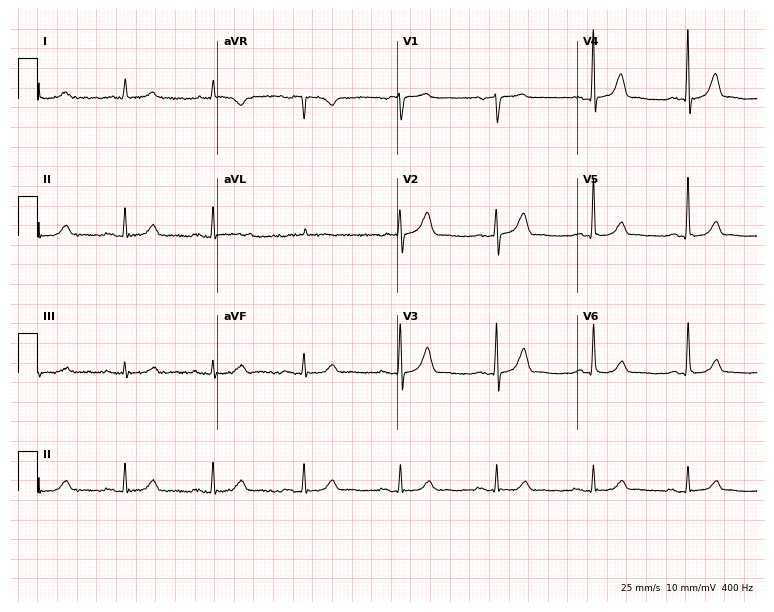
12-lead ECG from a 77-year-old male. Labelled as a normal ECG.